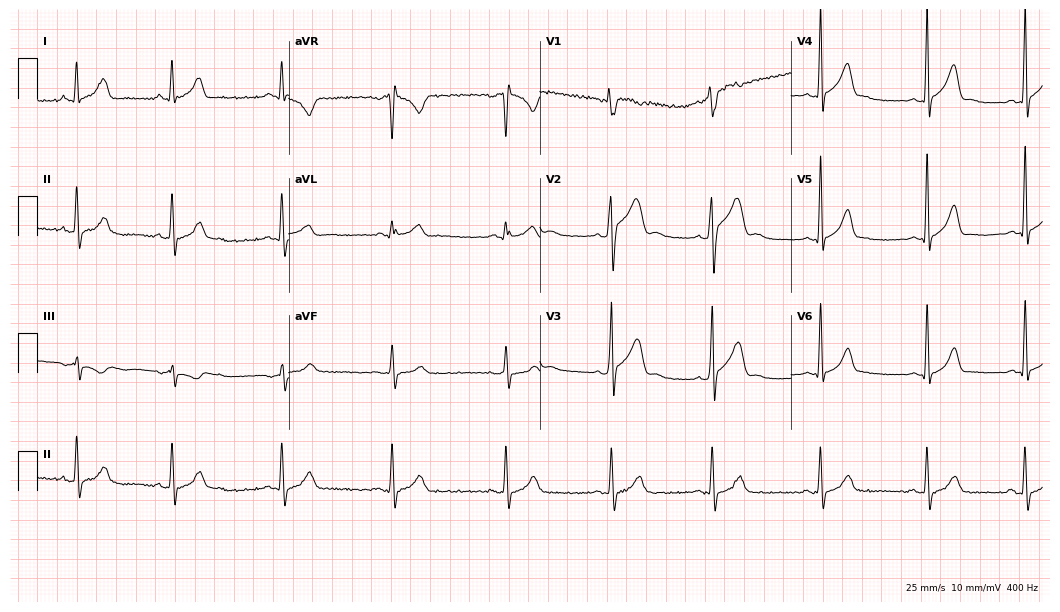
ECG — a male patient, 18 years old. Screened for six findings — first-degree AV block, right bundle branch block, left bundle branch block, sinus bradycardia, atrial fibrillation, sinus tachycardia — none is recorded.